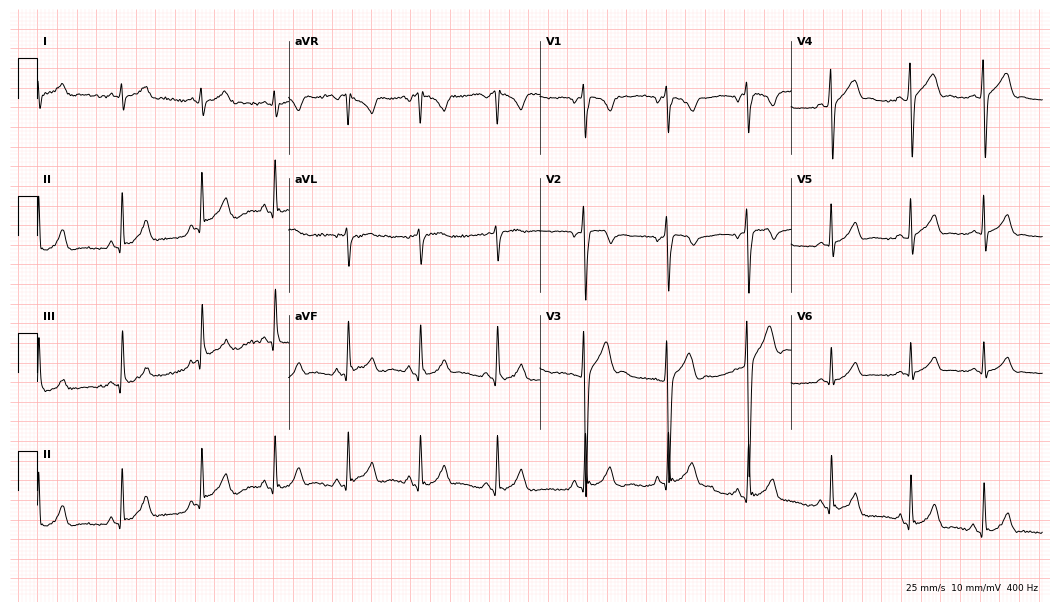
Electrocardiogram, a 17-year-old male. Overall reading on record: normal ECG.